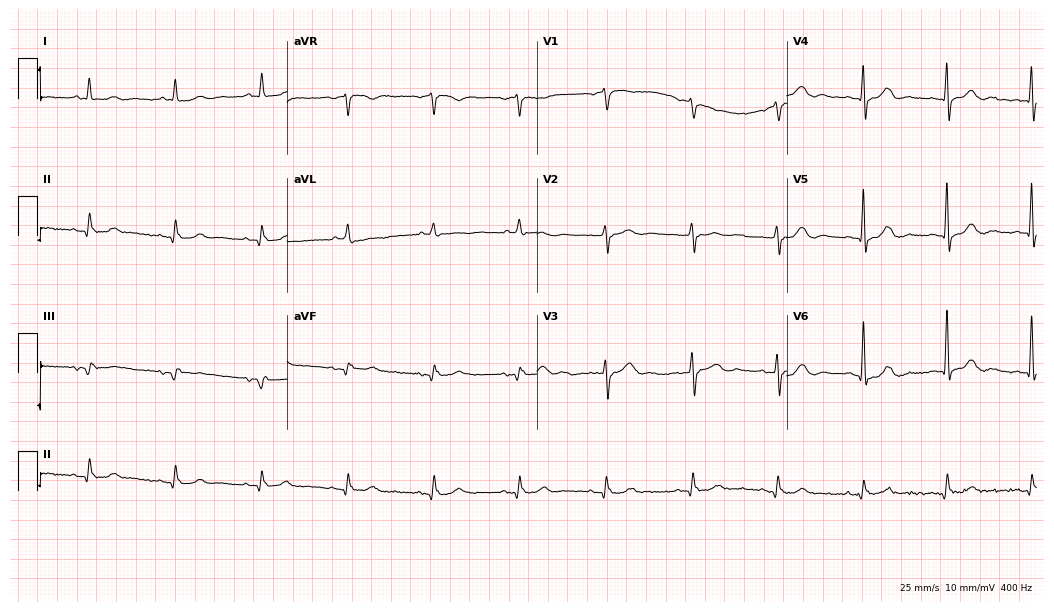
12-lead ECG from a male patient, 81 years old (10.2-second recording at 400 Hz). No first-degree AV block, right bundle branch block, left bundle branch block, sinus bradycardia, atrial fibrillation or sinus tachycardia recorded for this tracing.